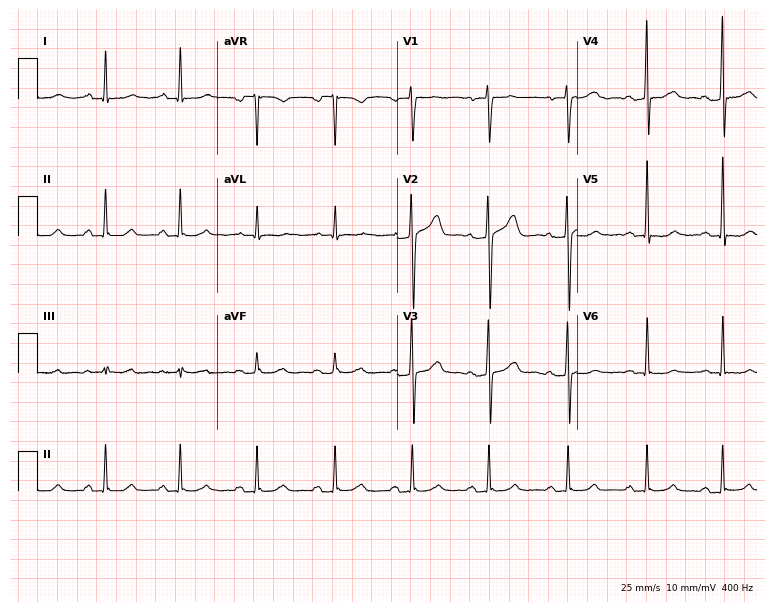
12-lead ECG from a male patient, 34 years old (7.3-second recording at 400 Hz). No first-degree AV block, right bundle branch block (RBBB), left bundle branch block (LBBB), sinus bradycardia, atrial fibrillation (AF) or sinus tachycardia recorded for this tracing.